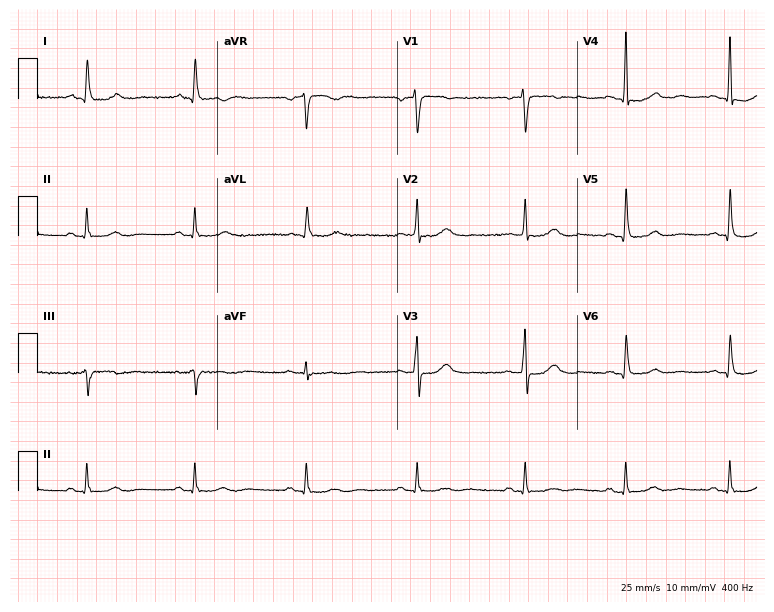
Resting 12-lead electrocardiogram. Patient: a 57-year-old female. None of these six findings is recorded: first-degree AV block, right bundle branch block, left bundle branch block, sinus bradycardia, atrial fibrillation, sinus tachycardia. Other findings, if any, are not listed.